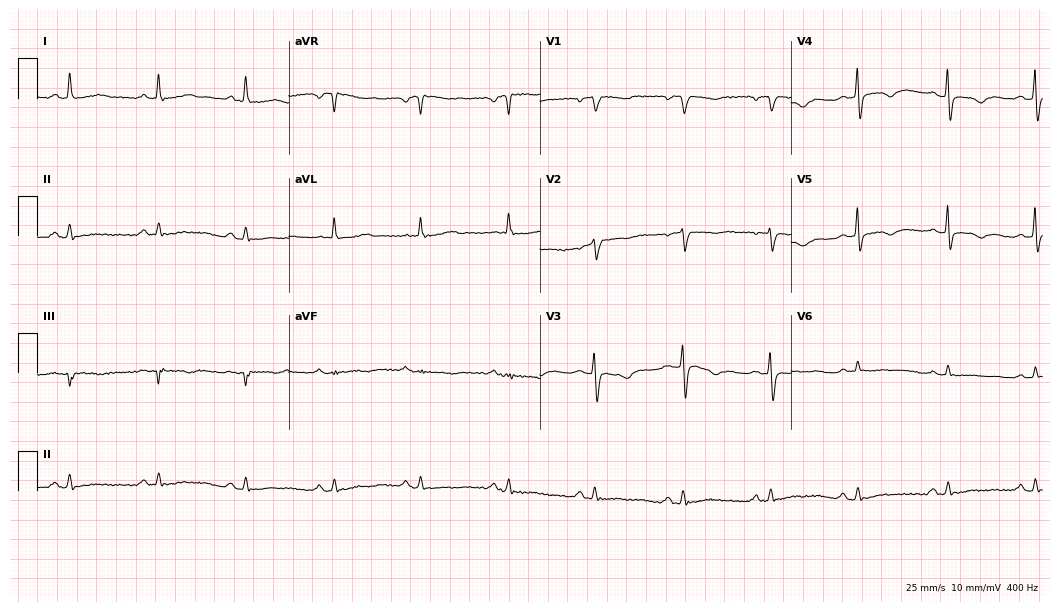
ECG — a 65-year-old female patient. Screened for six findings — first-degree AV block, right bundle branch block, left bundle branch block, sinus bradycardia, atrial fibrillation, sinus tachycardia — none is recorded. Other findings, if any, are not listed.